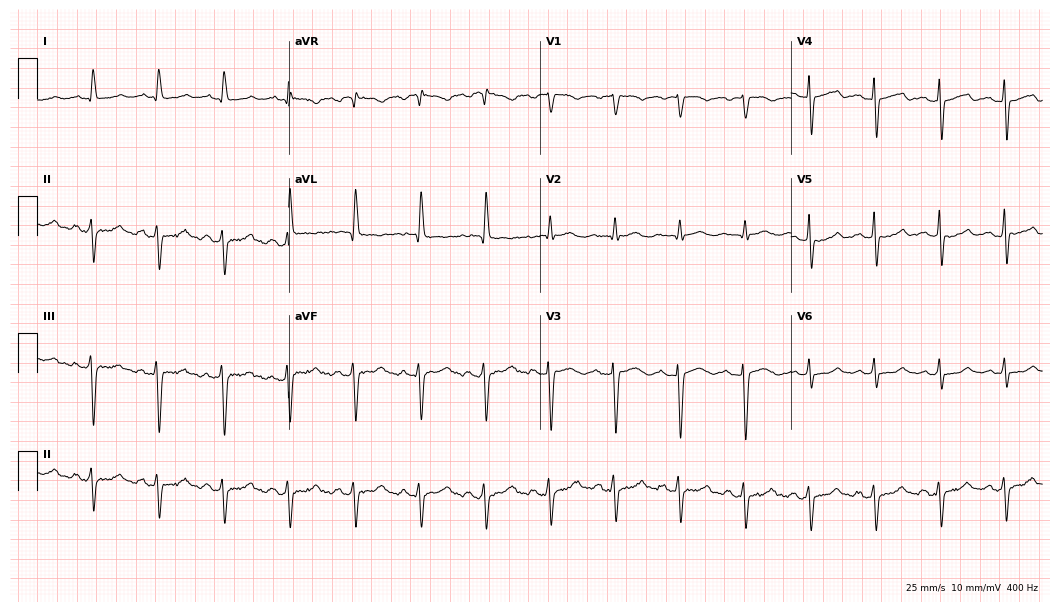
Resting 12-lead electrocardiogram. Patient: a 64-year-old female. None of these six findings is recorded: first-degree AV block, right bundle branch block, left bundle branch block, sinus bradycardia, atrial fibrillation, sinus tachycardia.